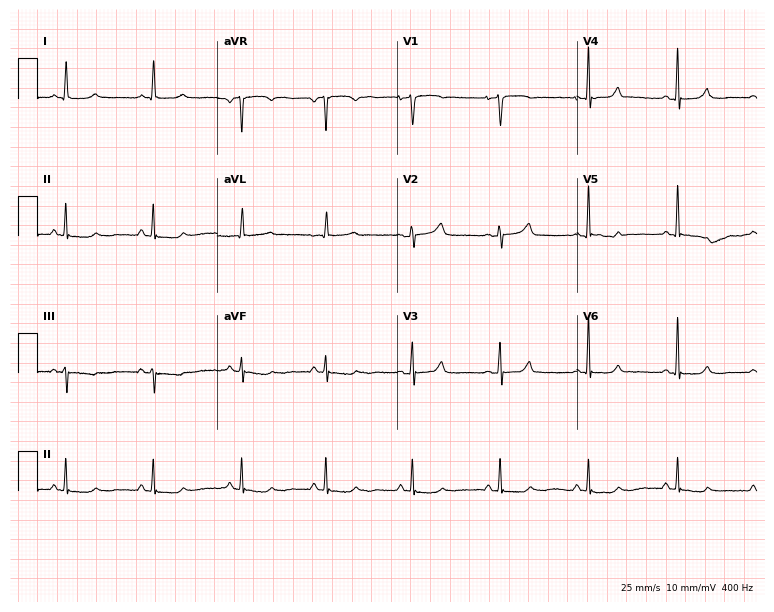
Resting 12-lead electrocardiogram. Patient: a female, 54 years old. Read as a normal ECG.